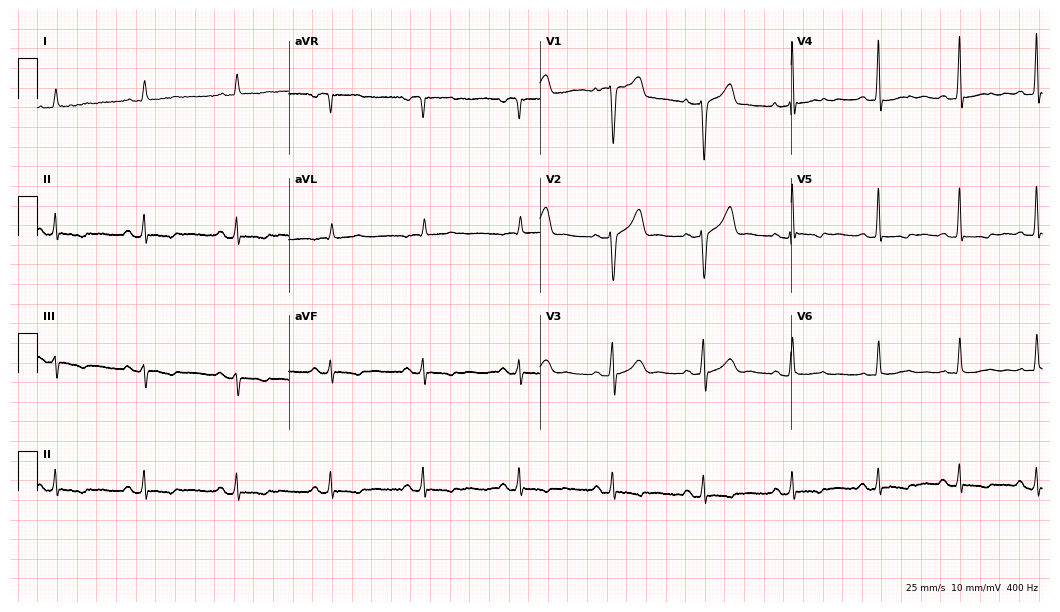
Electrocardiogram, a man, 69 years old. Of the six screened findings (first-degree AV block, right bundle branch block (RBBB), left bundle branch block (LBBB), sinus bradycardia, atrial fibrillation (AF), sinus tachycardia), none is recorded.